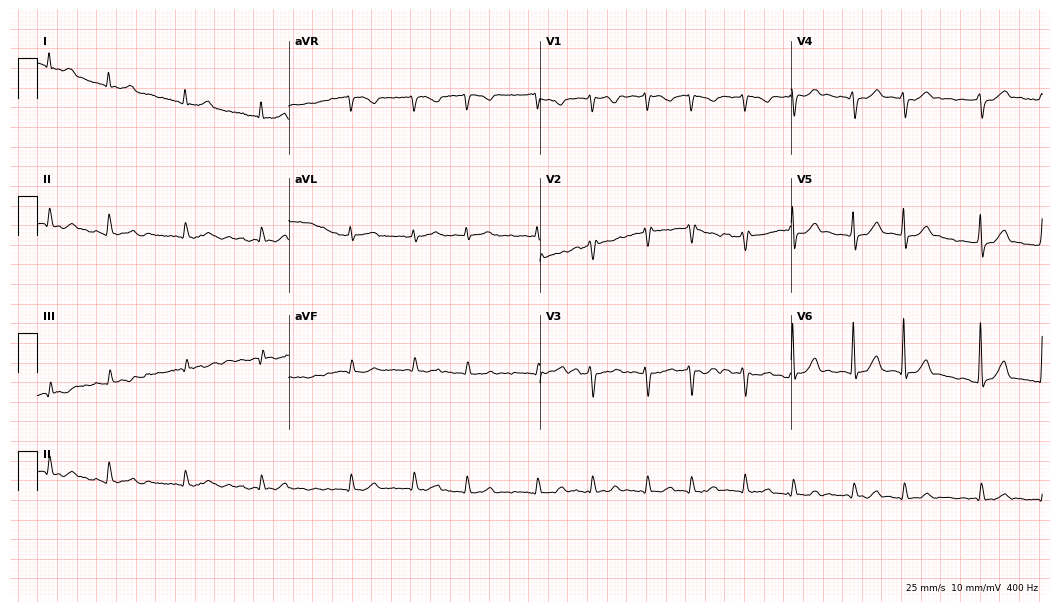
12-lead ECG from an 83-year-old male (10.2-second recording at 400 Hz). Shows atrial fibrillation.